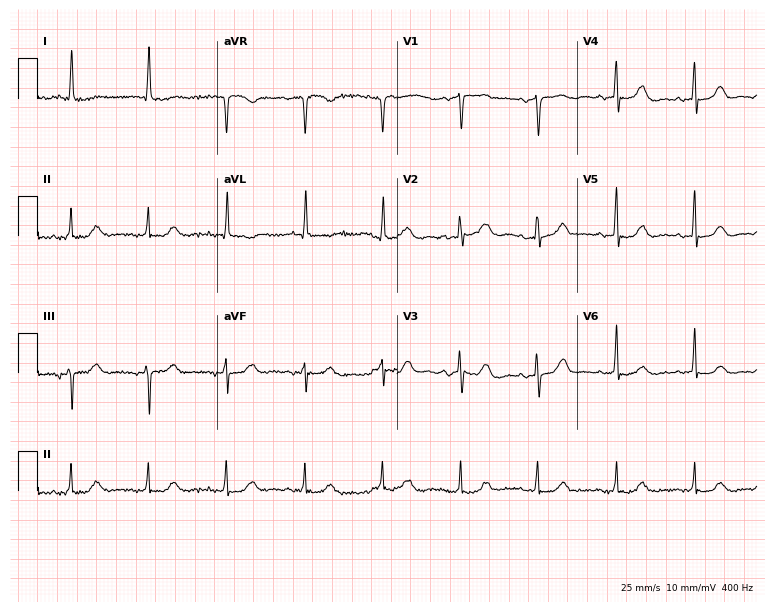
12-lead ECG from a female, 82 years old. Screened for six findings — first-degree AV block, right bundle branch block, left bundle branch block, sinus bradycardia, atrial fibrillation, sinus tachycardia — none is recorded.